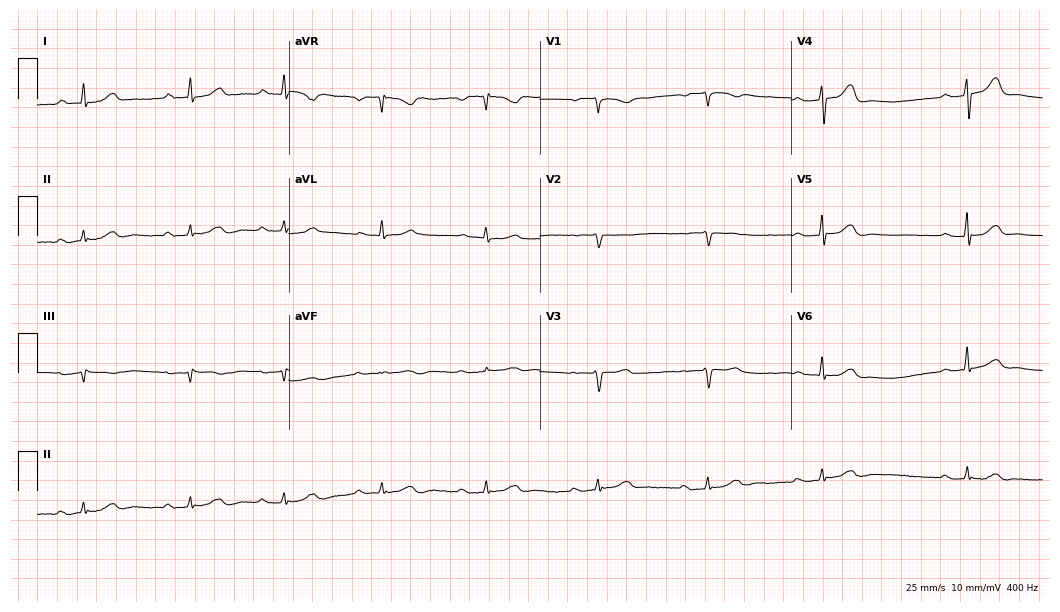
12-lead ECG from a female, 56 years old. Shows first-degree AV block.